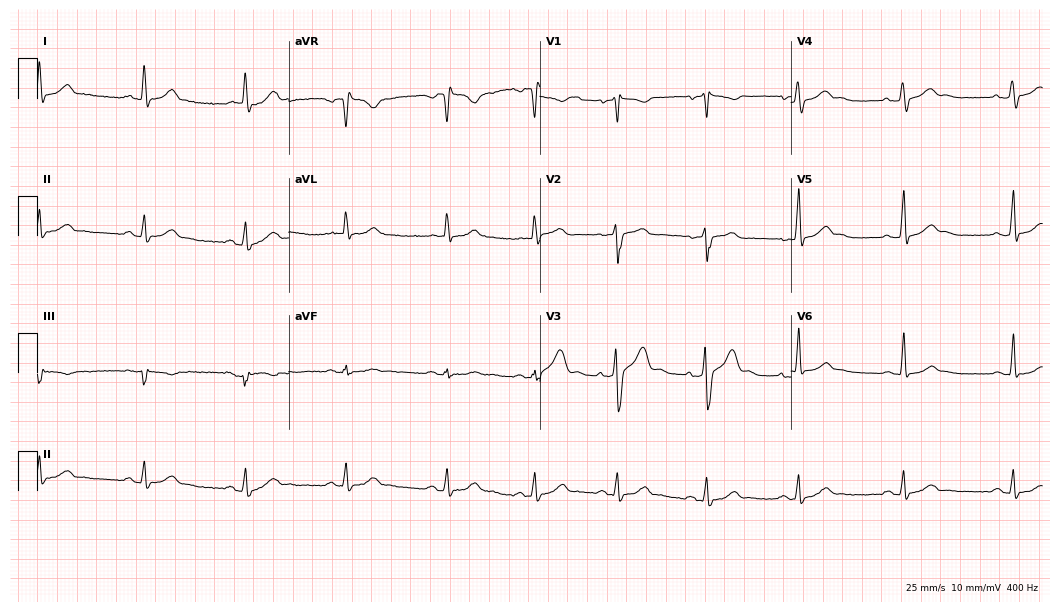
12-lead ECG from a 29-year-old man. Recorded interpretation: within normal limits.